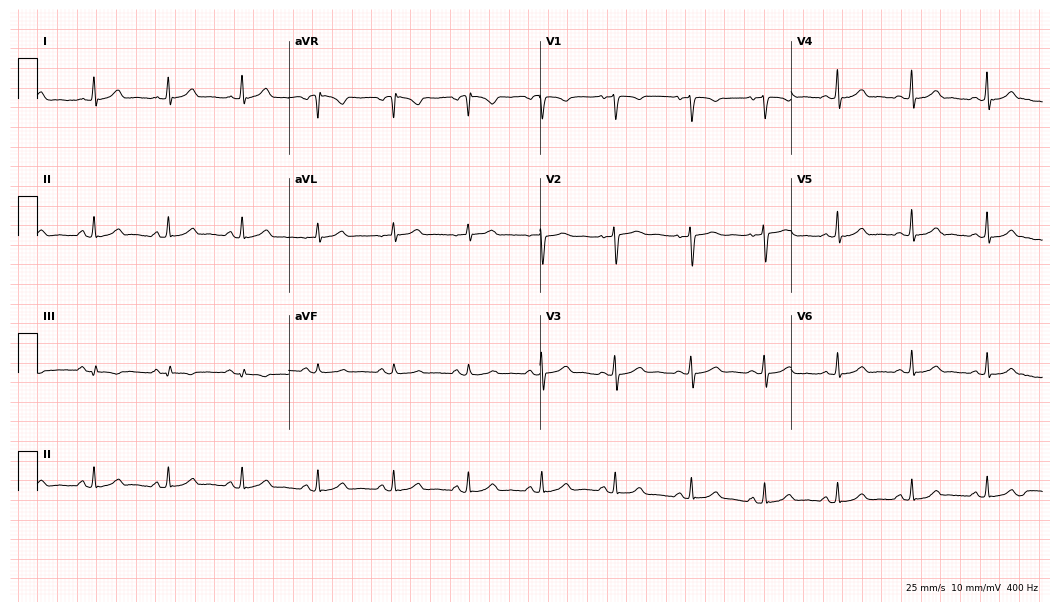
Electrocardiogram (10.2-second recording at 400 Hz), a 34-year-old woman. Overall reading on record: normal ECG.